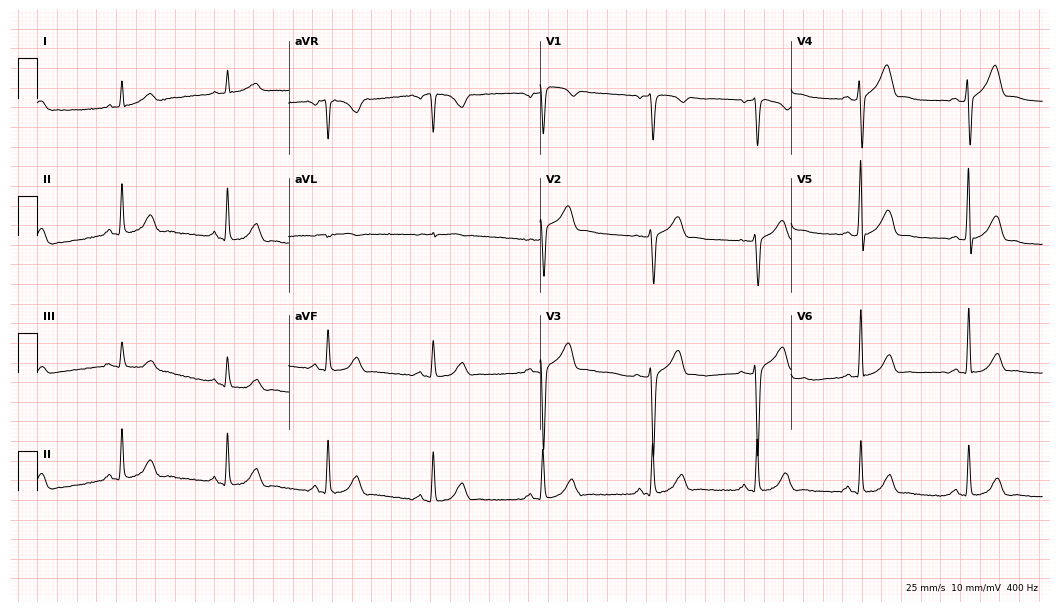
Resting 12-lead electrocardiogram. Patient: a 46-year-old man. None of these six findings is recorded: first-degree AV block, right bundle branch block, left bundle branch block, sinus bradycardia, atrial fibrillation, sinus tachycardia. Findings outside these six are not listed.